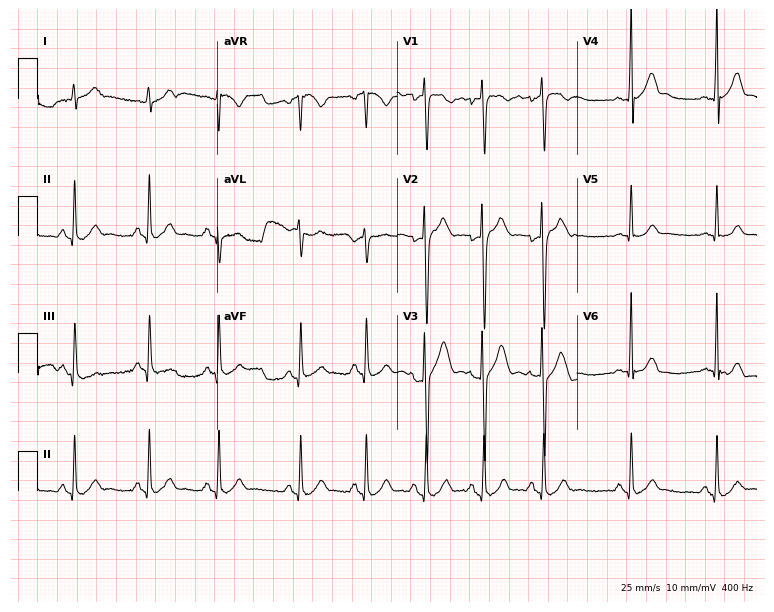
12-lead ECG from a 22-year-old male (7.3-second recording at 400 Hz). No first-degree AV block, right bundle branch block, left bundle branch block, sinus bradycardia, atrial fibrillation or sinus tachycardia recorded for this tracing. Only these six findings were labelled.